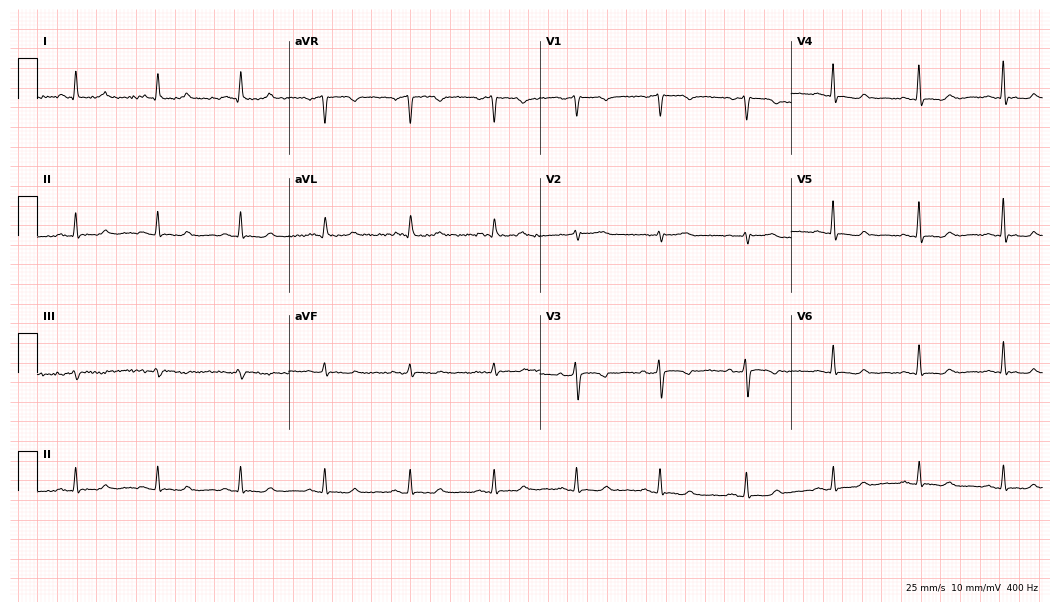
Resting 12-lead electrocardiogram (10.2-second recording at 400 Hz). Patient: a 65-year-old female. None of these six findings is recorded: first-degree AV block, right bundle branch block, left bundle branch block, sinus bradycardia, atrial fibrillation, sinus tachycardia.